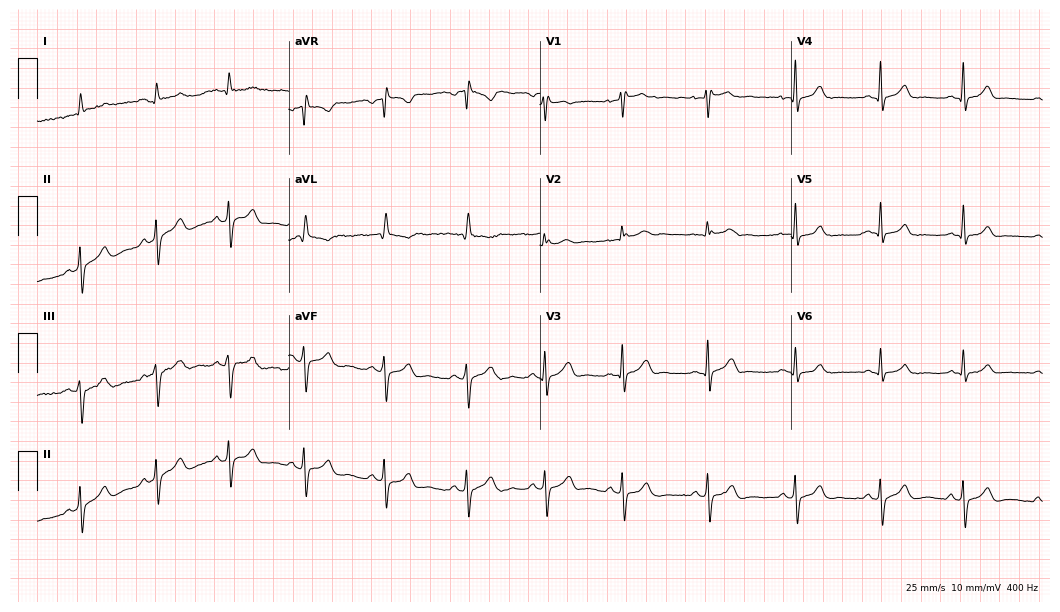
ECG (10.2-second recording at 400 Hz) — a man, 27 years old. Labelled as a normal ECG.